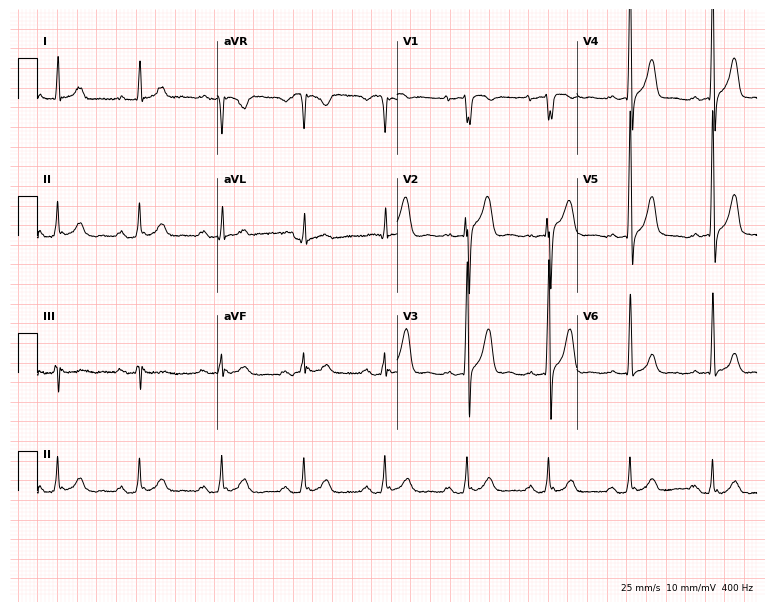
Resting 12-lead electrocardiogram (7.3-second recording at 400 Hz). Patient: a female, 55 years old. None of these six findings is recorded: first-degree AV block, right bundle branch block, left bundle branch block, sinus bradycardia, atrial fibrillation, sinus tachycardia. Findings outside these six are not listed.